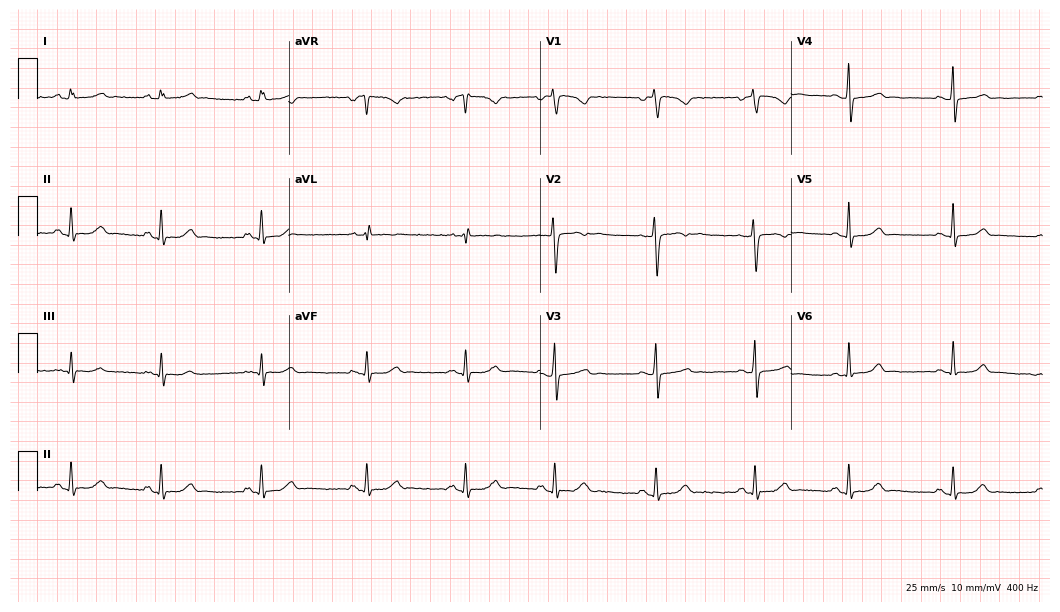
Standard 12-lead ECG recorded from a 22-year-old female (10.2-second recording at 400 Hz). None of these six findings is recorded: first-degree AV block, right bundle branch block (RBBB), left bundle branch block (LBBB), sinus bradycardia, atrial fibrillation (AF), sinus tachycardia. Only these six findings were labelled.